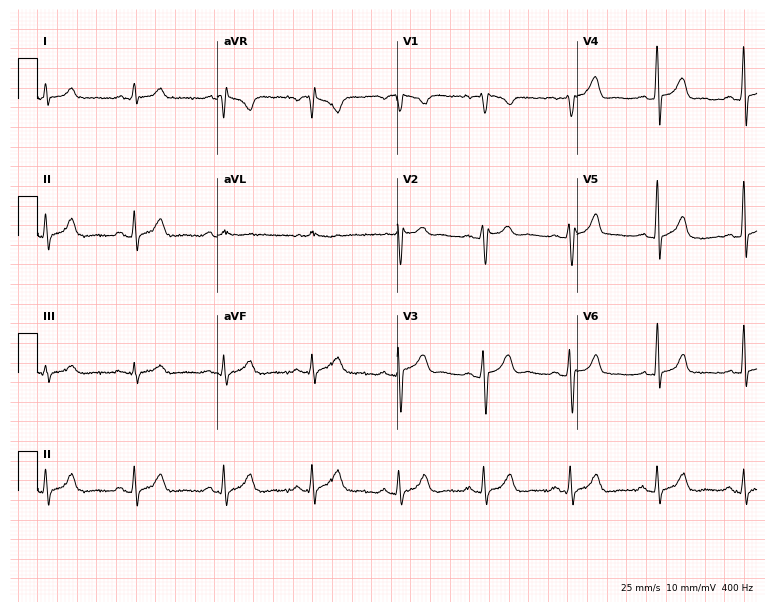
Electrocardiogram, a 25-year-old male patient. Of the six screened findings (first-degree AV block, right bundle branch block (RBBB), left bundle branch block (LBBB), sinus bradycardia, atrial fibrillation (AF), sinus tachycardia), none is recorded. Only these six findings were labelled.